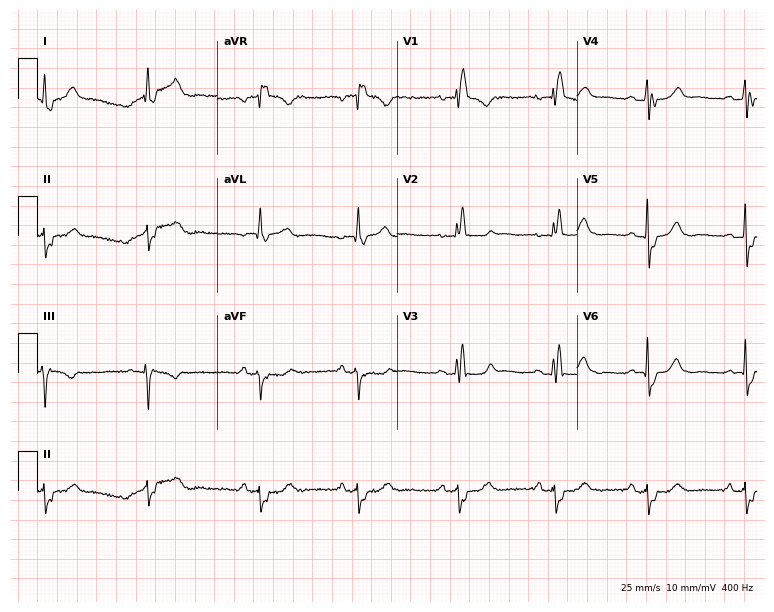
12-lead ECG from a female, 57 years old. Shows right bundle branch block.